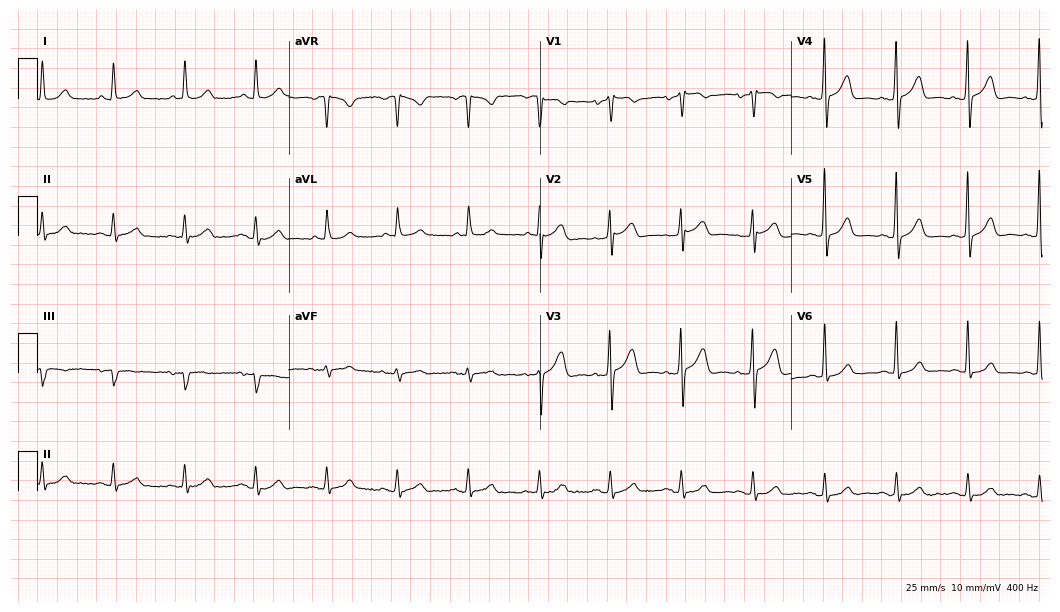
12-lead ECG from a 69-year-old male. No first-degree AV block, right bundle branch block (RBBB), left bundle branch block (LBBB), sinus bradycardia, atrial fibrillation (AF) or sinus tachycardia recorded for this tracing.